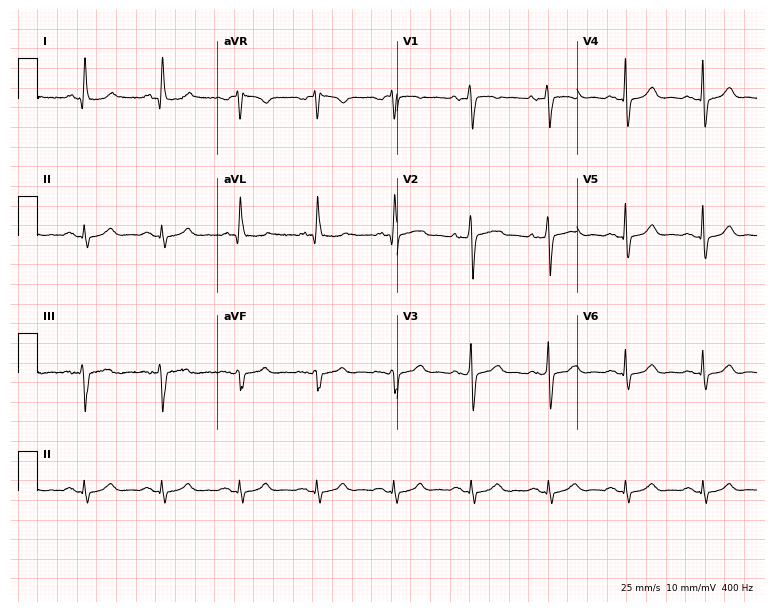
12-lead ECG from a male, 67 years old. Recorded interpretation: within normal limits.